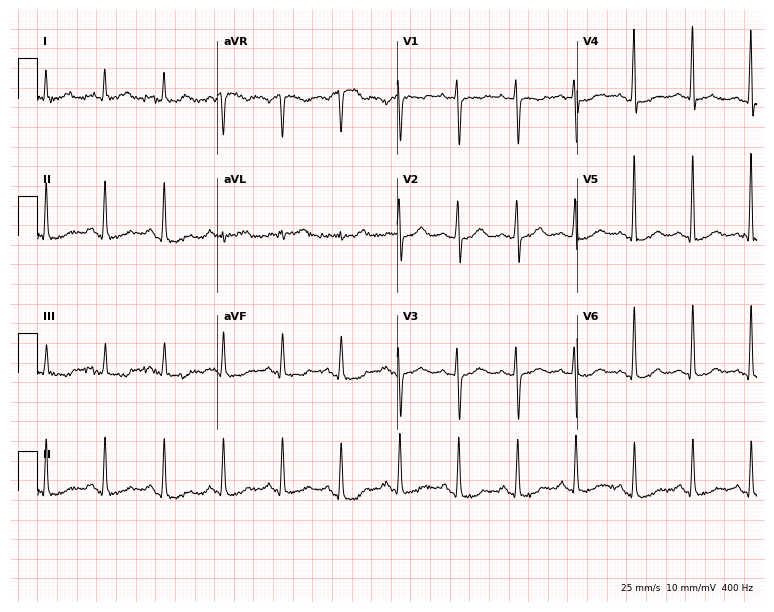
Standard 12-lead ECG recorded from a female patient, 62 years old. Read as a normal ECG.